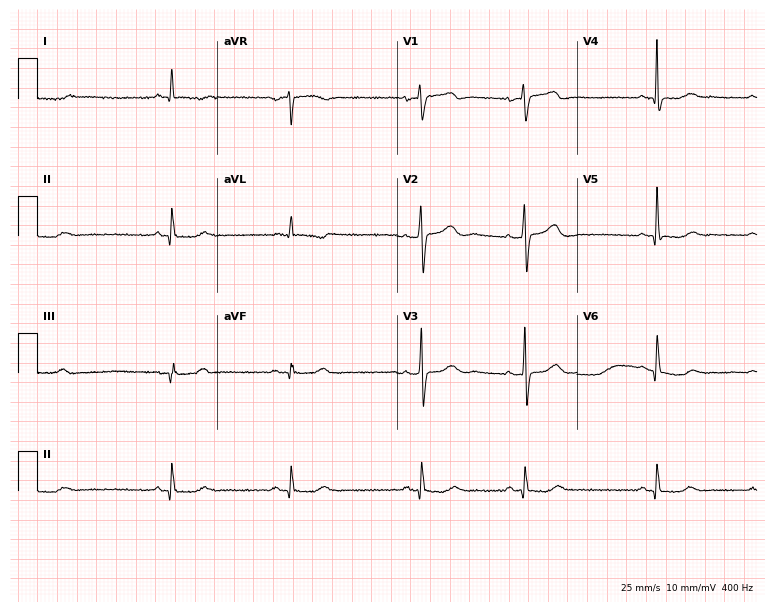
12-lead ECG from a 57-year-old female. Findings include sinus bradycardia (a sinus rate of 50 beats per minute or less).